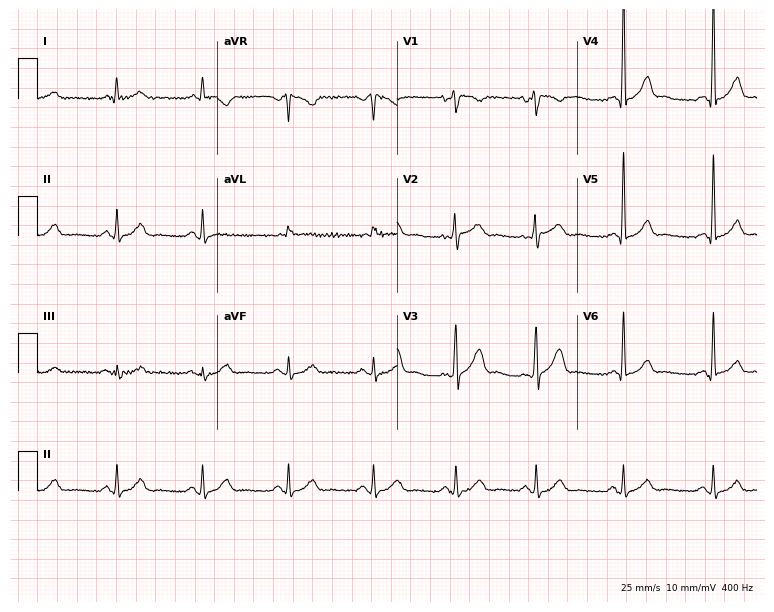
Standard 12-lead ECG recorded from a male, 68 years old (7.3-second recording at 400 Hz). Read as a normal ECG.